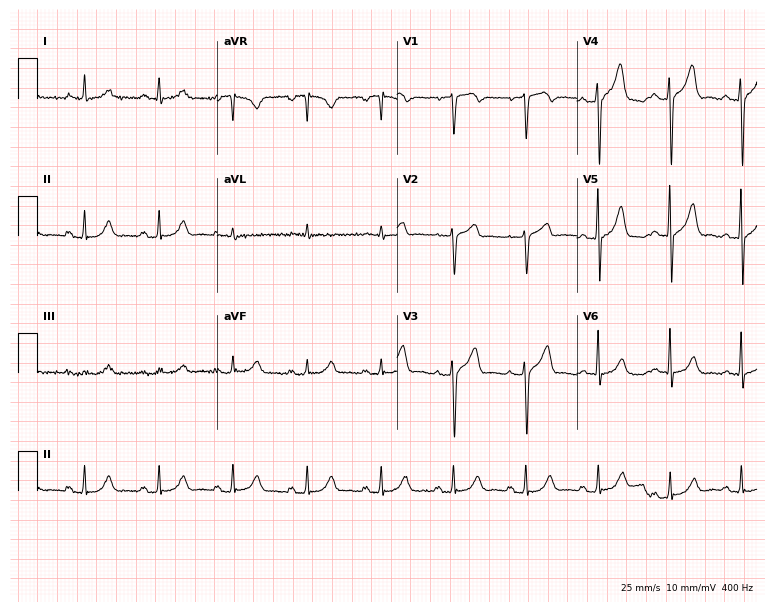
12-lead ECG from a 73-year-old male. No first-degree AV block, right bundle branch block, left bundle branch block, sinus bradycardia, atrial fibrillation or sinus tachycardia recorded for this tracing. Only these six findings were labelled.